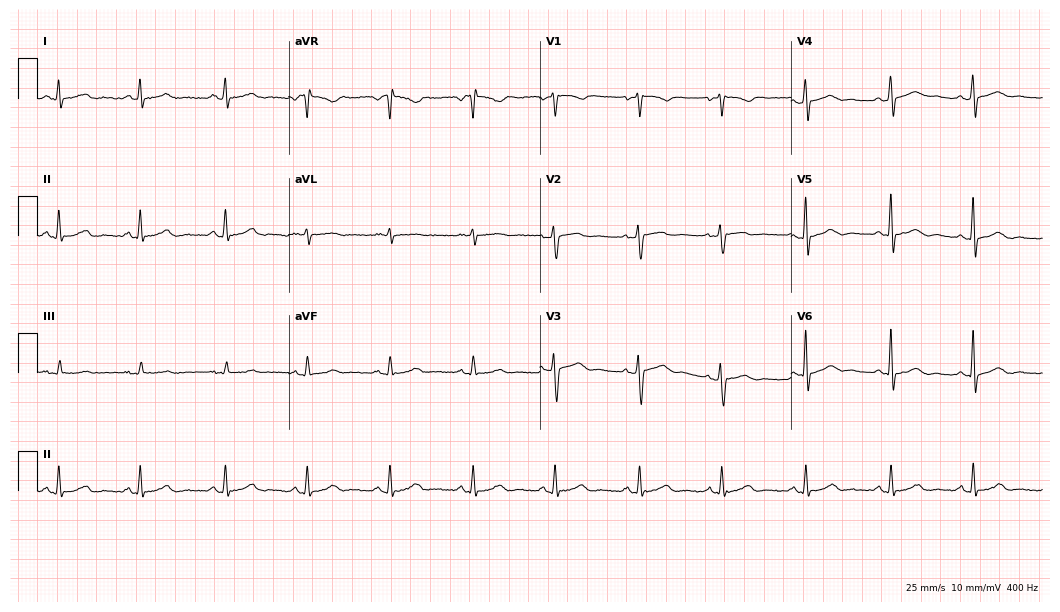
ECG (10.2-second recording at 400 Hz) — a 34-year-old female patient. Labelled as a normal ECG.